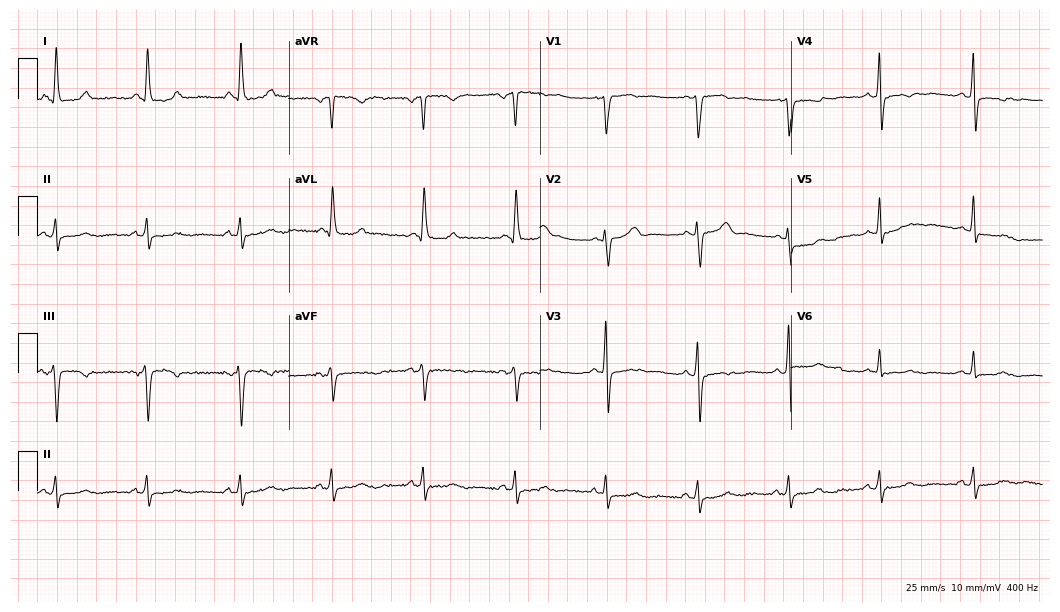
Standard 12-lead ECG recorded from a female patient, 52 years old. None of these six findings is recorded: first-degree AV block, right bundle branch block (RBBB), left bundle branch block (LBBB), sinus bradycardia, atrial fibrillation (AF), sinus tachycardia. Only these six findings were labelled.